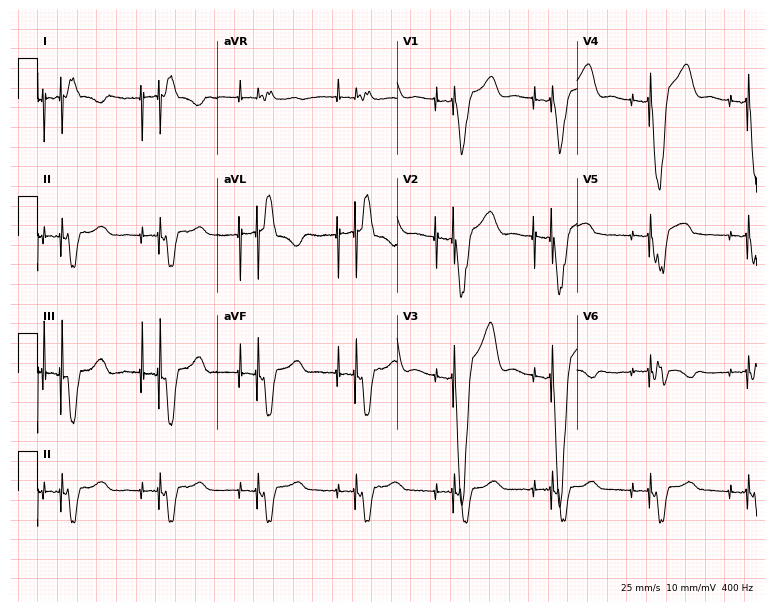
12-lead ECG (7.3-second recording at 400 Hz) from a male patient, 69 years old. Screened for six findings — first-degree AV block, right bundle branch block, left bundle branch block, sinus bradycardia, atrial fibrillation, sinus tachycardia — none is recorded. Other findings, if any, are not listed.